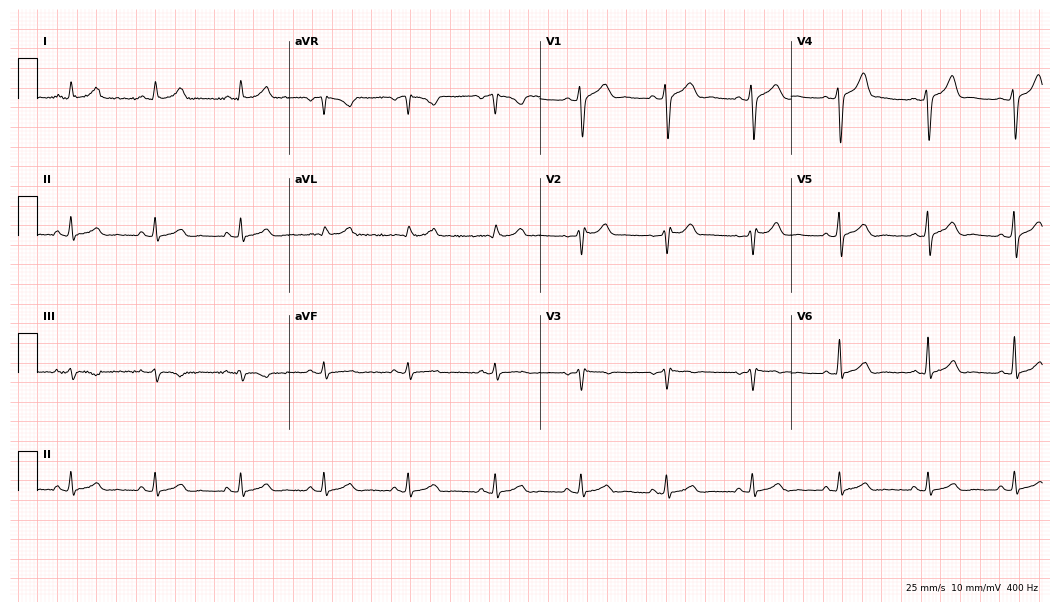
Standard 12-lead ECG recorded from a 34-year-old male (10.2-second recording at 400 Hz). None of these six findings is recorded: first-degree AV block, right bundle branch block (RBBB), left bundle branch block (LBBB), sinus bradycardia, atrial fibrillation (AF), sinus tachycardia. Only these six findings were labelled.